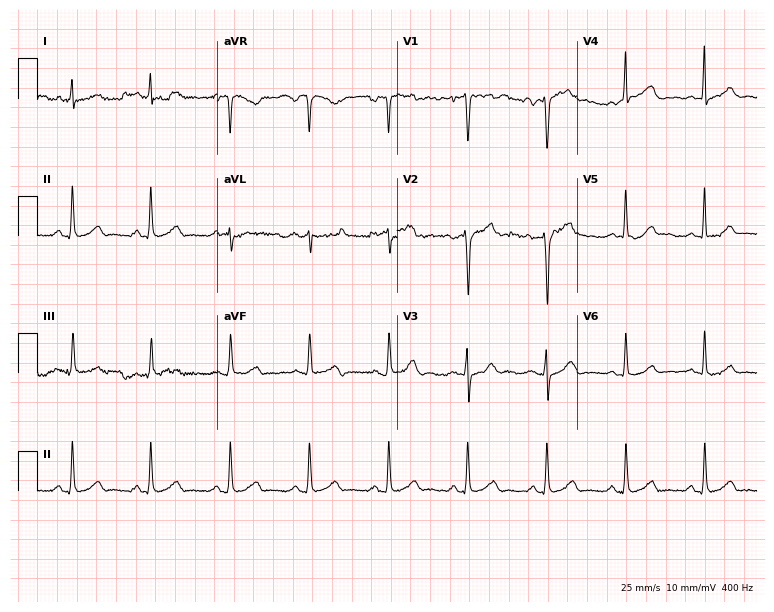
Standard 12-lead ECG recorded from a 43-year-old male (7.3-second recording at 400 Hz). None of these six findings is recorded: first-degree AV block, right bundle branch block, left bundle branch block, sinus bradycardia, atrial fibrillation, sinus tachycardia. Only these six findings were labelled.